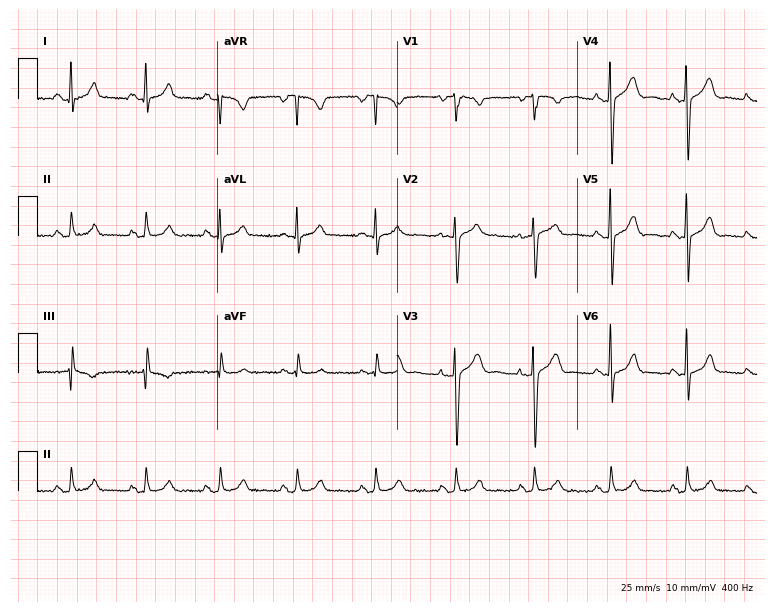
Standard 12-lead ECG recorded from a female, 28 years old. Read as a normal ECG.